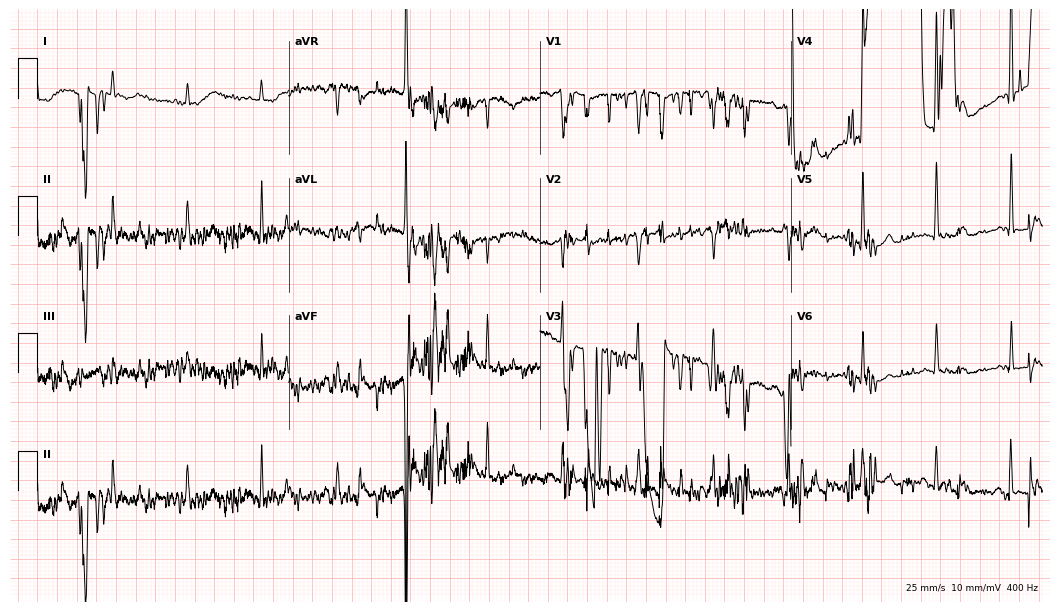
Resting 12-lead electrocardiogram. Patient: a 73-year-old female. None of these six findings is recorded: first-degree AV block, right bundle branch block (RBBB), left bundle branch block (LBBB), sinus bradycardia, atrial fibrillation (AF), sinus tachycardia.